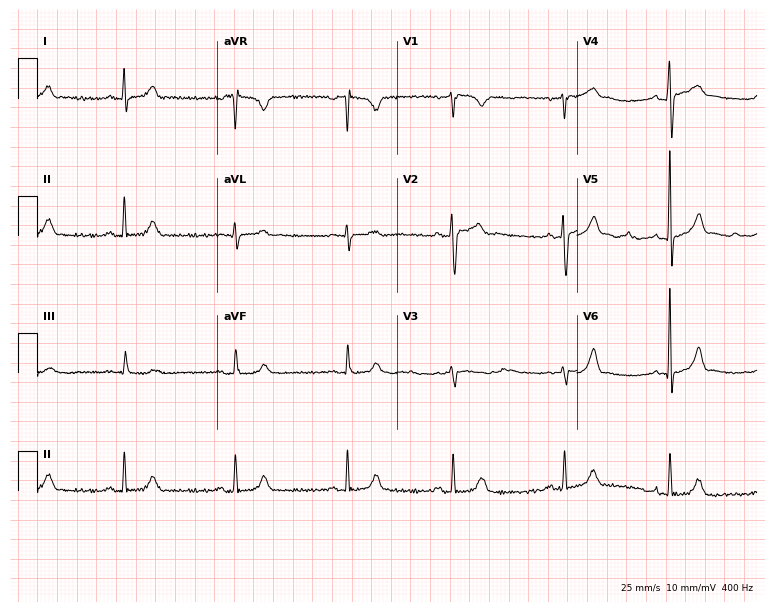
12-lead ECG from a man, 34 years old. Labelled as a normal ECG.